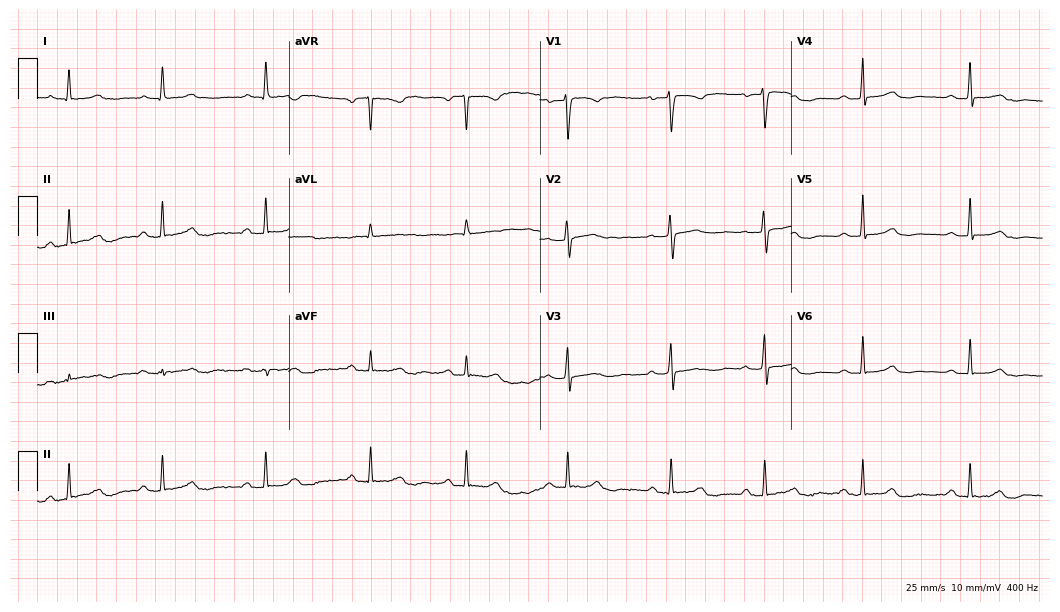
ECG (10.2-second recording at 400 Hz) — a 51-year-old female patient. Labelled as a normal ECG.